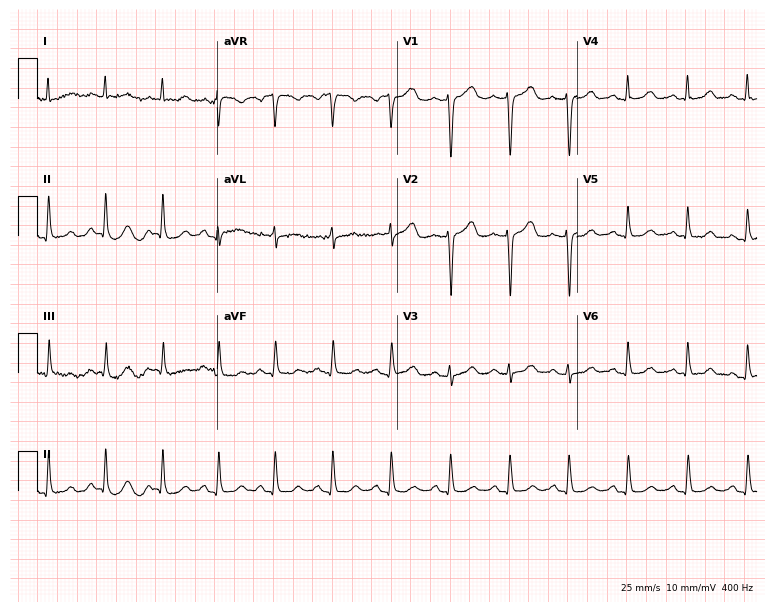
Resting 12-lead electrocardiogram (7.3-second recording at 400 Hz). Patient: a female, 60 years old. Read as a normal ECG.